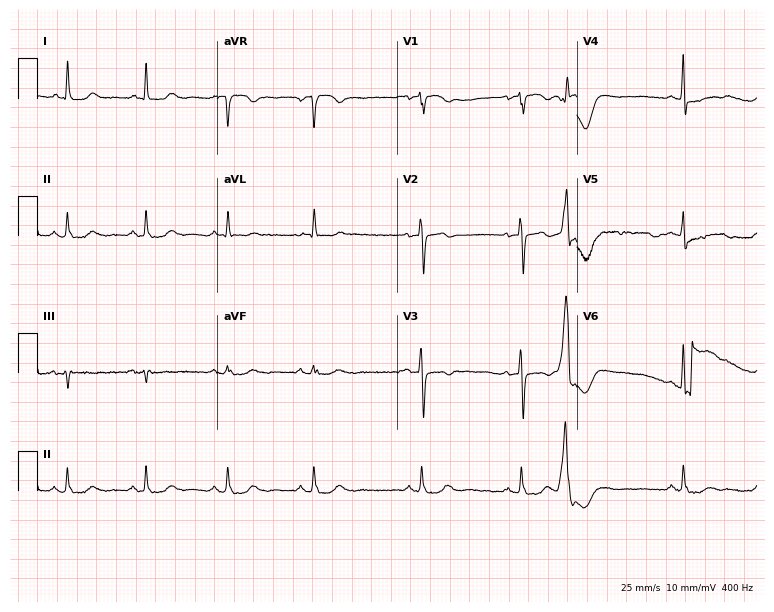
12-lead ECG (7.3-second recording at 400 Hz) from a female patient, 67 years old. Screened for six findings — first-degree AV block, right bundle branch block, left bundle branch block, sinus bradycardia, atrial fibrillation, sinus tachycardia — none is recorded. Other findings, if any, are not listed.